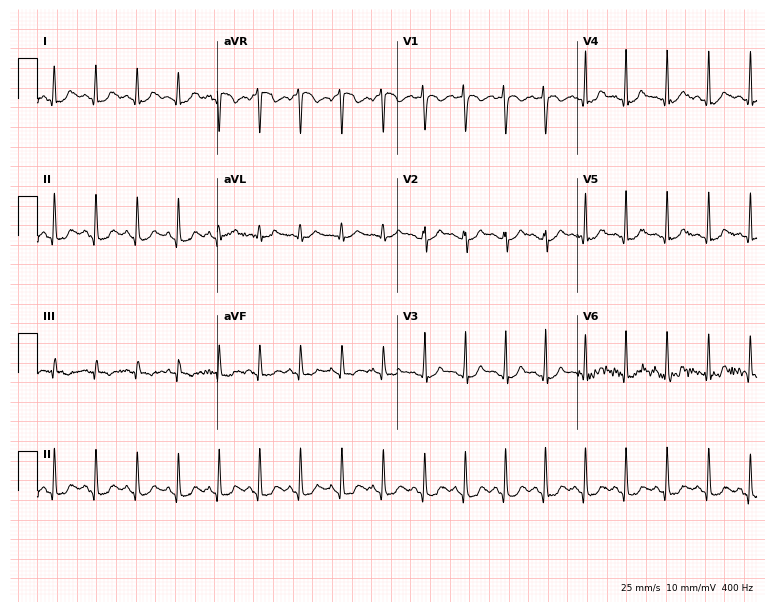
12-lead ECG from a female, 21 years old. Shows sinus tachycardia (a sinus rate of 100 beats per minute or more).